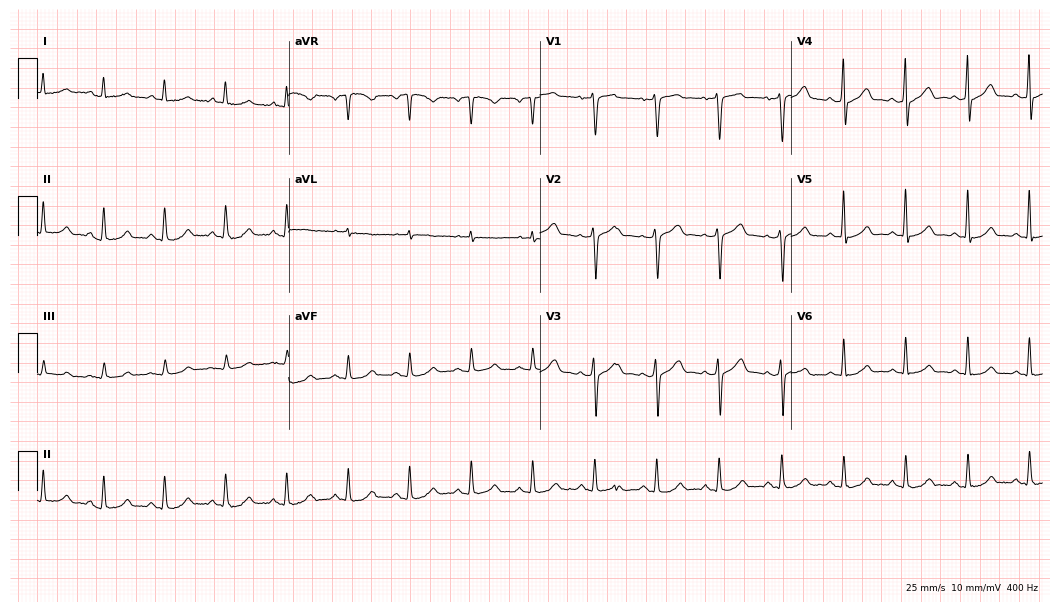
Standard 12-lead ECG recorded from a 60-year-old male patient. Read as a normal ECG.